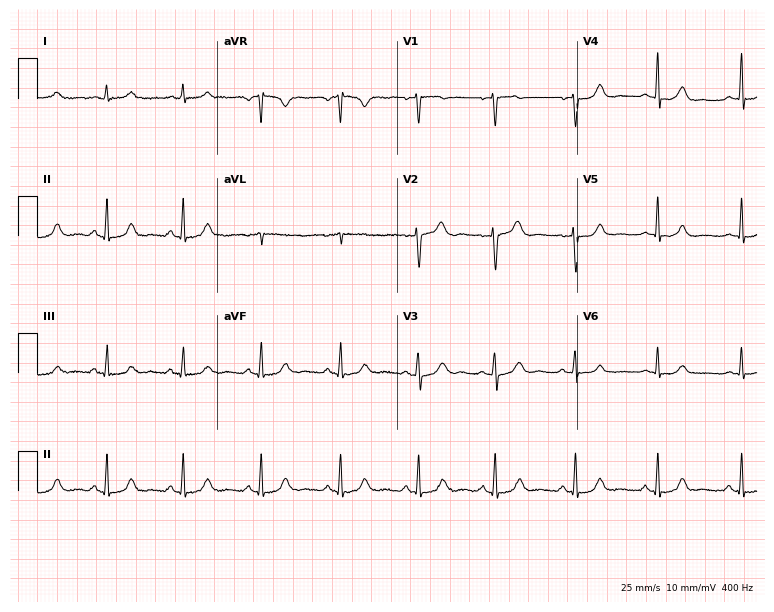
Resting 12-lead electrocardiogram. Patient: a woman, 45 years old. Read as a normal ECG.